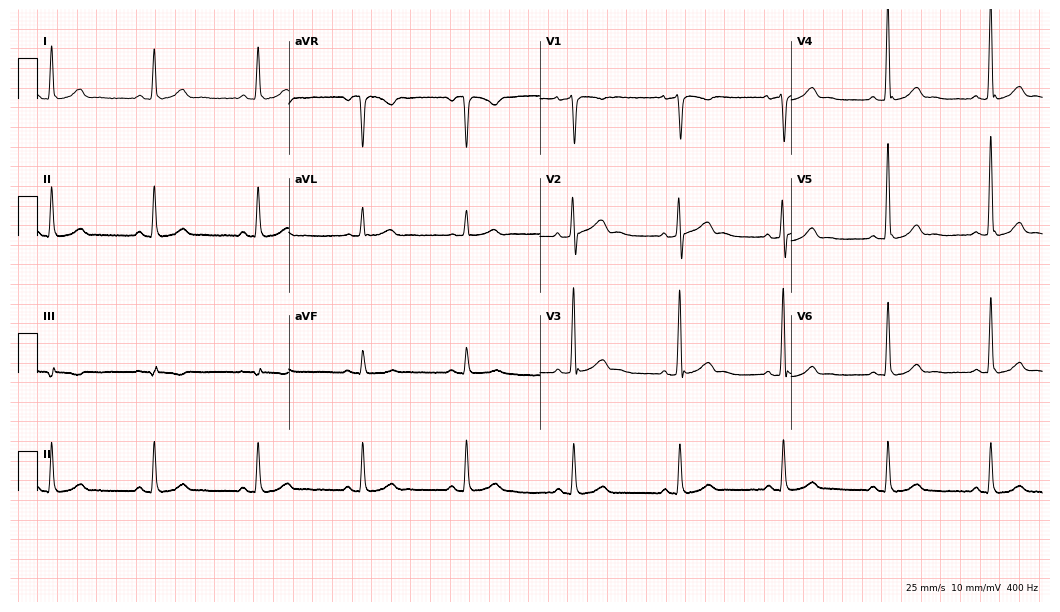
ECG (10.2-second recording at 400 Hz) — a male patient, 50 years old. Labelled as a normal ECG.